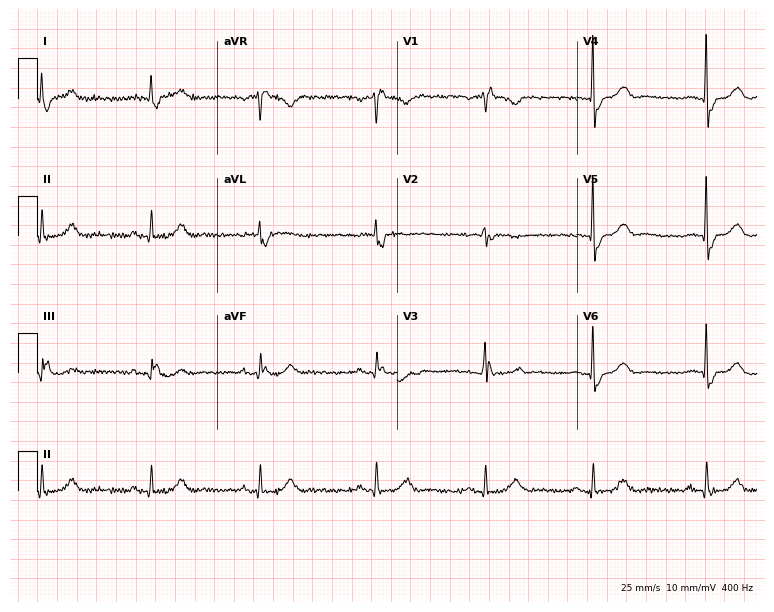
Electrocardiogram (7.3-second recording at 400 Hz), a male patient, 79 years old. Of the six screened findings (first-degree AV block, right bundle branch block (RBBB), left bundle branch block (LBBB), sinus bradycardia, atrial fibrillation (AF), sinus tachycardia), none is recorded.